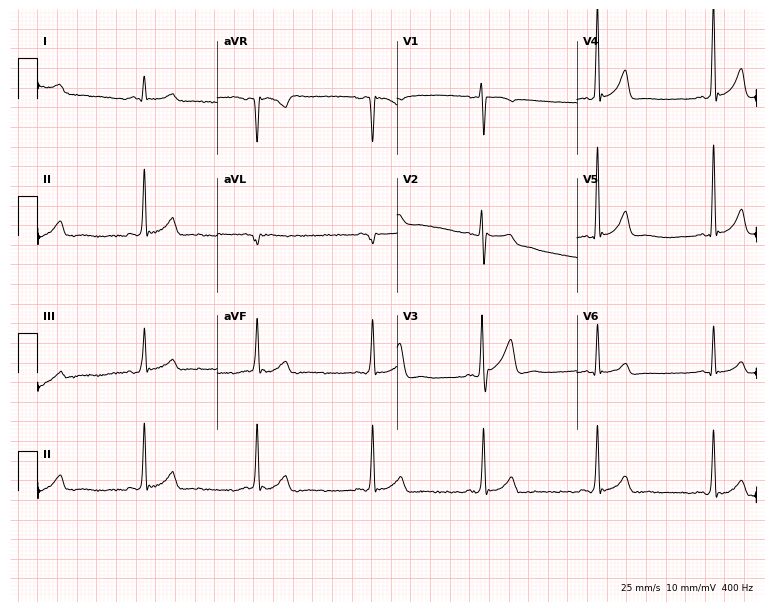
12-lead ECG from a male, 31 years old (7.3-second recording at 400 Hz). No first-degree AV block, right bundle branch block, left bundle branch block, sinus bradycardia, atrial fibrillation or sinus tachycardia recorded for this tracing.